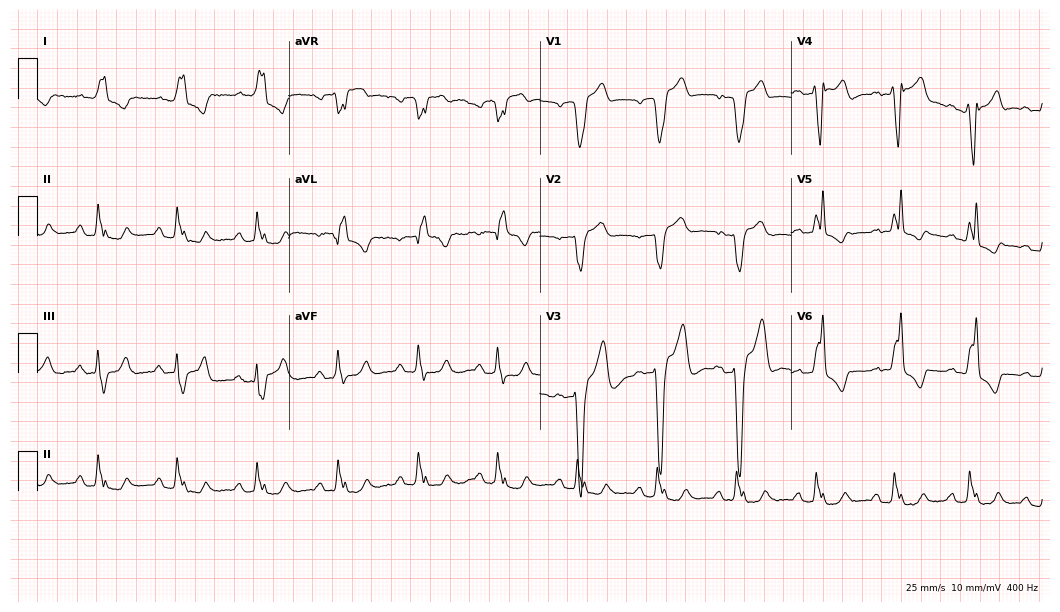
ECG — a man, 75 years old. Findings include left bundle branch block.